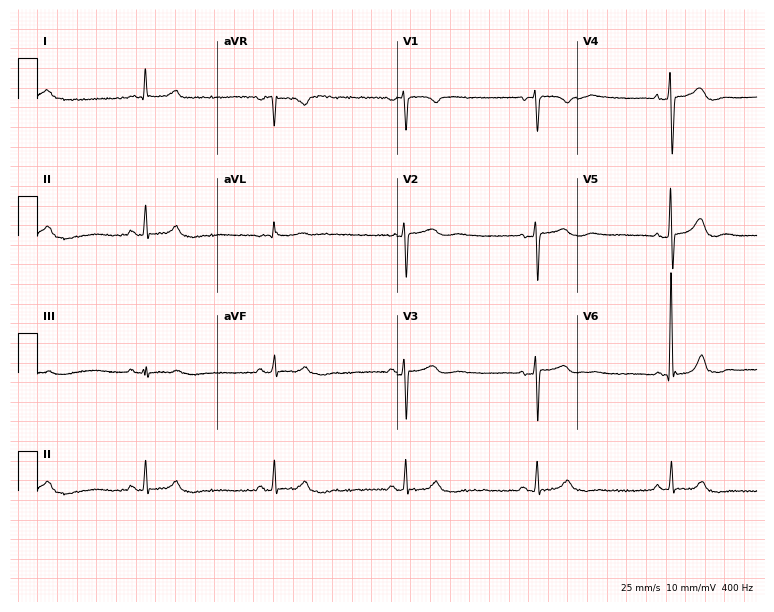
12-lead ECG (7.3-second recording at 400 Hz) from a man, 80 years old. Findings include sinus bradycardia (a sinus rate of 50 beats per minute or less).